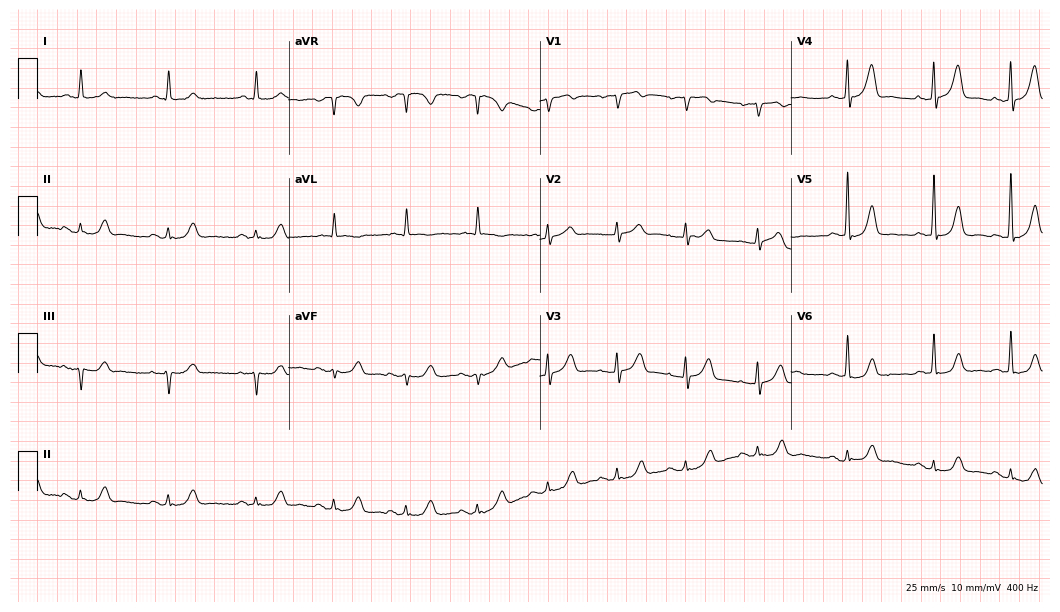
Electrocardiogram (10.2-second recording at 400 Hz), a woman, 71 years old. Overall reading on record: normal ECG.